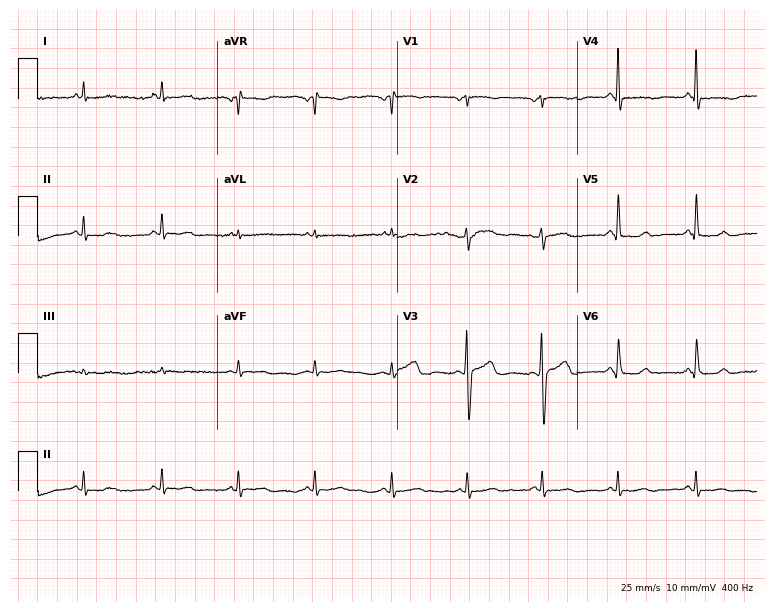
Standard 12-lead ECG recorded from a 72-year-old female patient (7.3-second recording at 400 Hz). None of these six findings is recorded: first-degree AV block, right bundle branch block, left bundle branch block, sinus bradycardia, atrial fibrillation, sinus tachycardia.